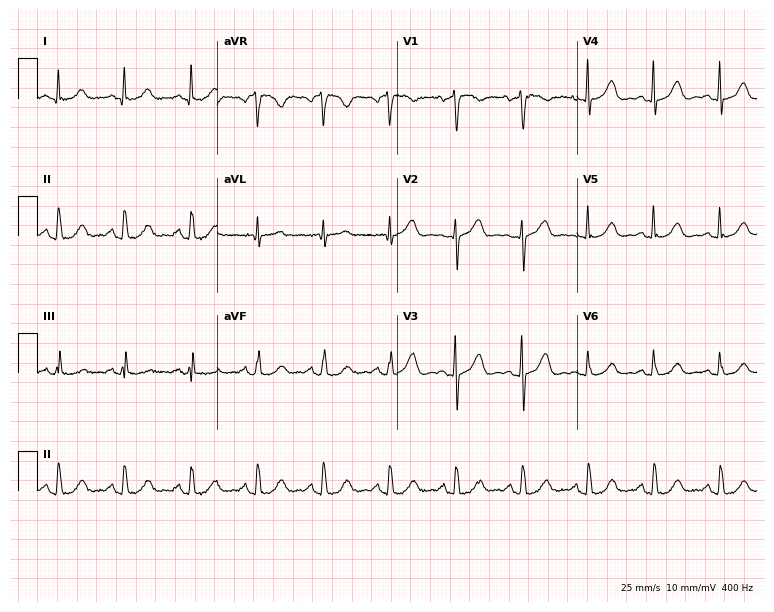
12-lead ECG from a 48-year-old woman. Recorded interpretation: within normal limits.